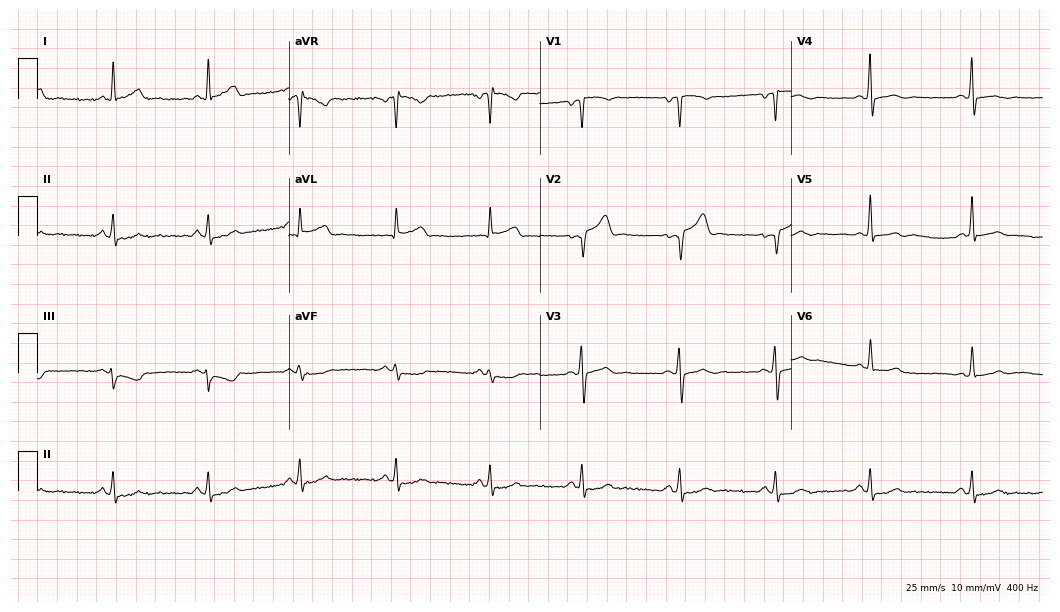
12-lead ECG from a 40-year-old male patient. Screened for six findings — first-degree AV block, right bundle branch block, left bundle branch block, sinus bradycardia, atrial fibrillation, sinus tachycardia — none is recorded. Findings outside these six are not listed.